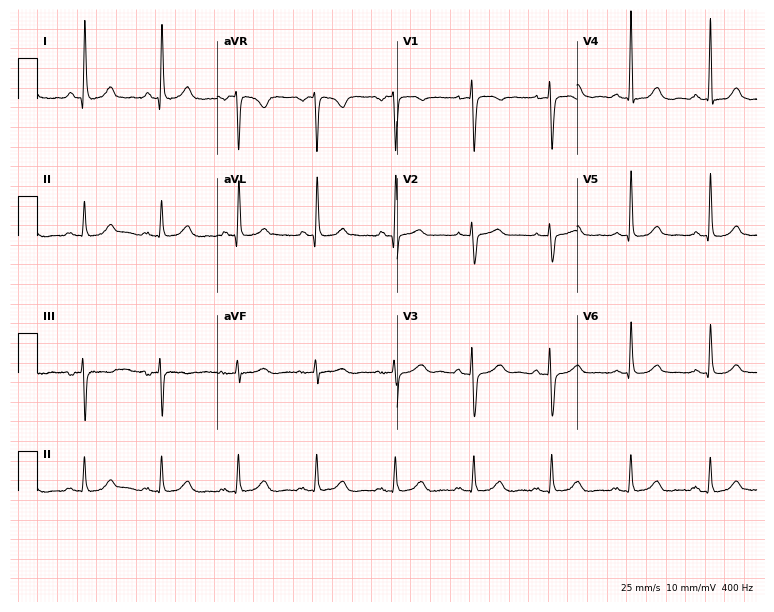
Electrocardiogram (7.3-second recording at 400 Hz), a 71-year-old female patient. Of the six screened findings (first-degree AV block, right bundle branch block, left bundle branch block, sinus bradycardia, atrial fibrillation, sinus tachycardia), none is recorded.